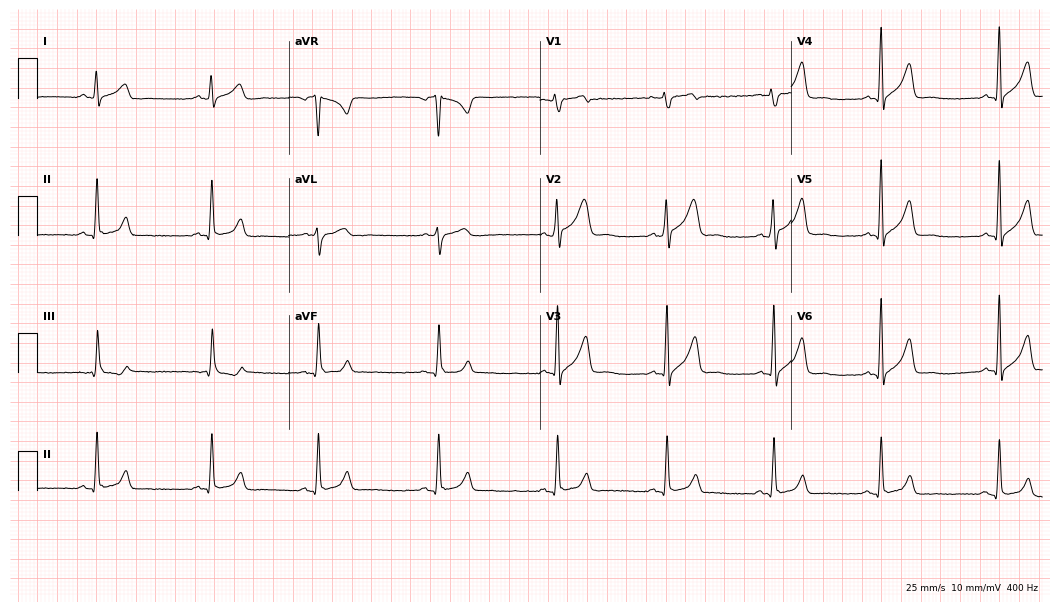
12-lead ECG (10.2-second recording at 400 Hz) from a 30-year-old male patient. Screened for six findings — first-degree AV block, right bundle branch block, left bundle branch block, sinus bradycardia, atrial fibrillation, sinus tachycardia — none is recorded.